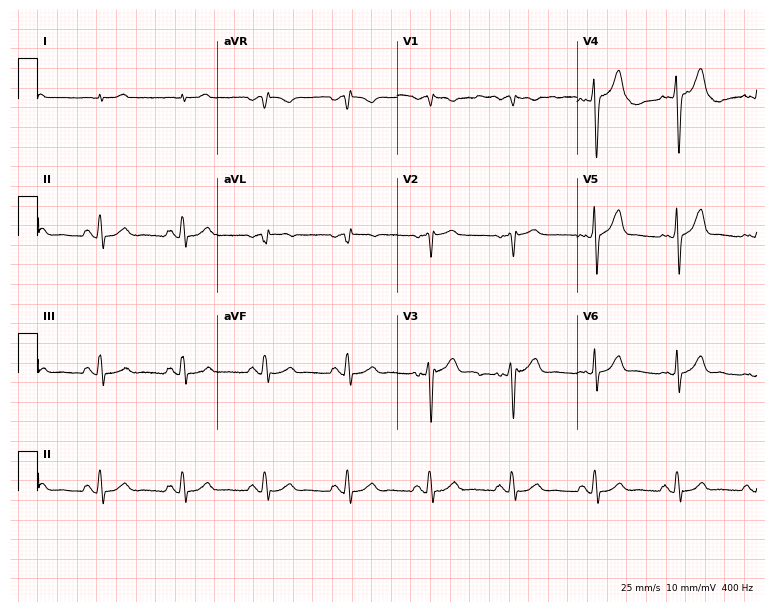
Resting 12-lead electrocardiogram. Patient: a man, 81 years old. None of these six findings is recorded: first-degree AV block, right bundle branch block, left bundle branch block, sinus bradycardia, atrial fibrillation, sinus tachycardia.